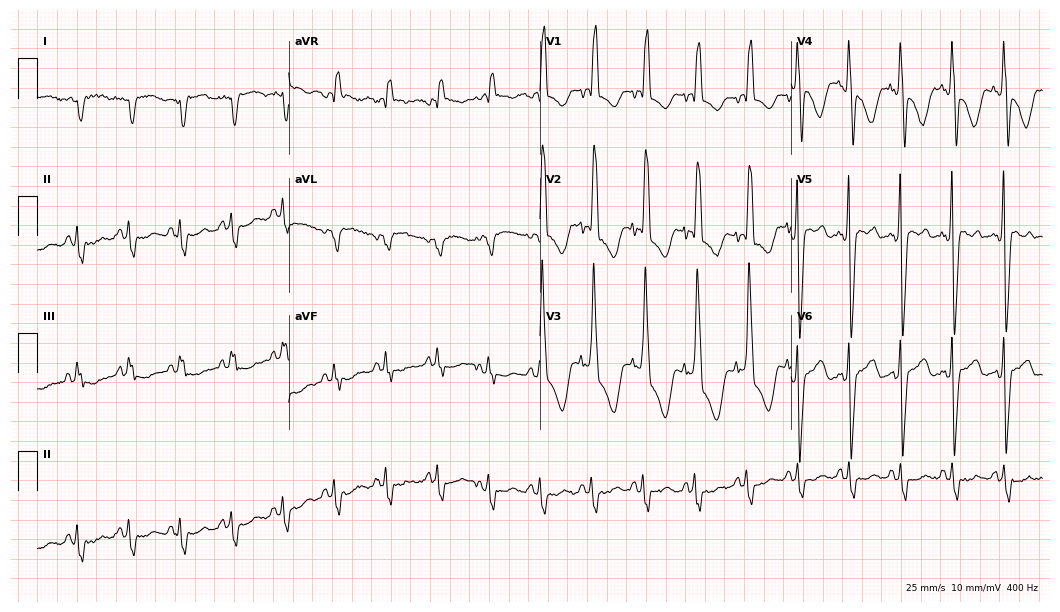
12-lead ECG from a female patient, 55 years old. Findings include right bundle branch block, sinus tachycardia (a sinus rate of 100 beats per minute or more).